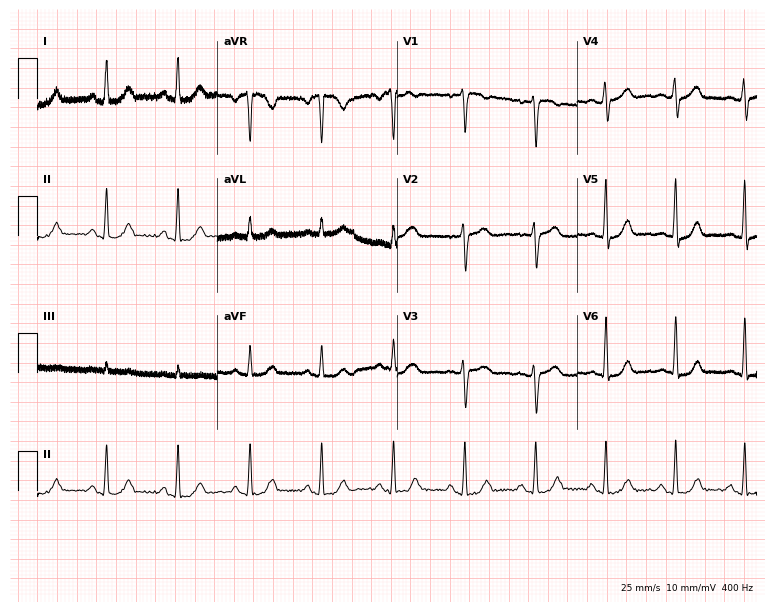
12-lead ECG from a 52-year-old female (7.3-second recording at 400 Hz). No first-degree AV block, right bundle branch block, left bundle branch block, sinus bradycardia, atrial fibrillation or sinus tachycardia recorded for this tracing. Other findings, if any, are not listed.